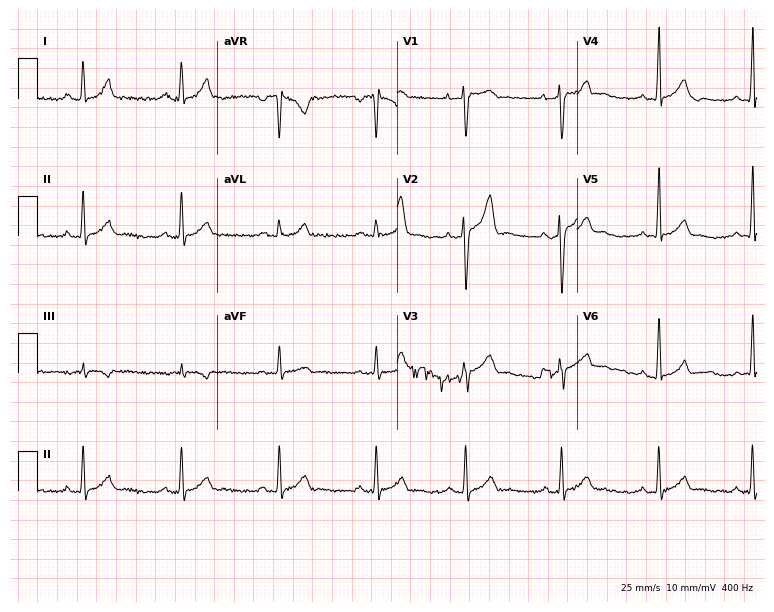
Standard 12-lead ECG recorded from a 27-year-old male patient (7.3-second recording at 400 Hz). Read as a normal ECG.